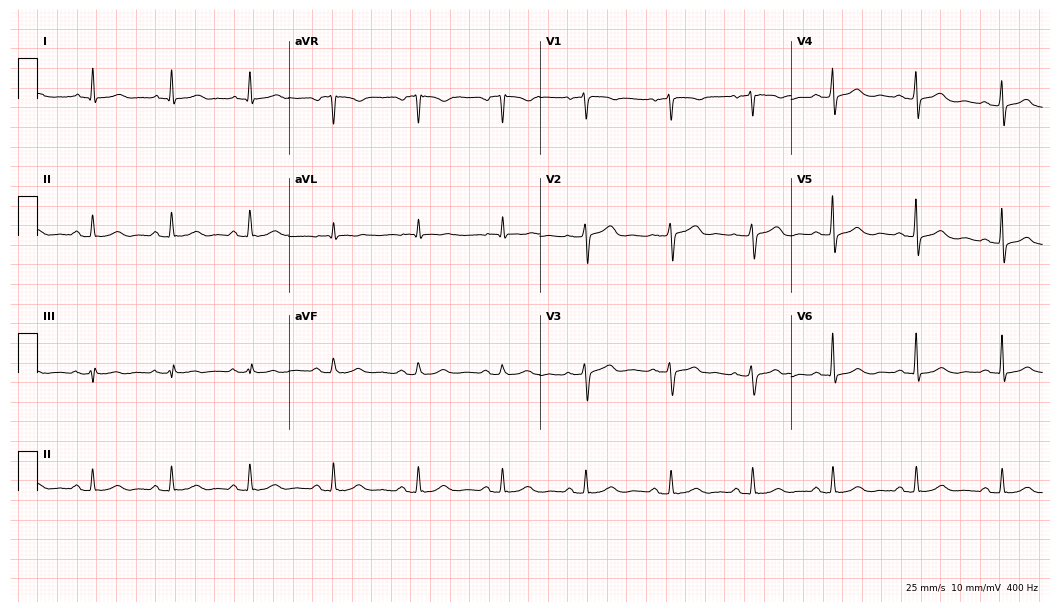
12-lead ECG (10.2-second recording at 400 Hz) from a female, 53 years old. Screened for six findings — first-degree AV block, right bundle branch block, left bundle branch block, sinus bradycardia, atrial fibrillation, sinus tachycardia — none is recorded.